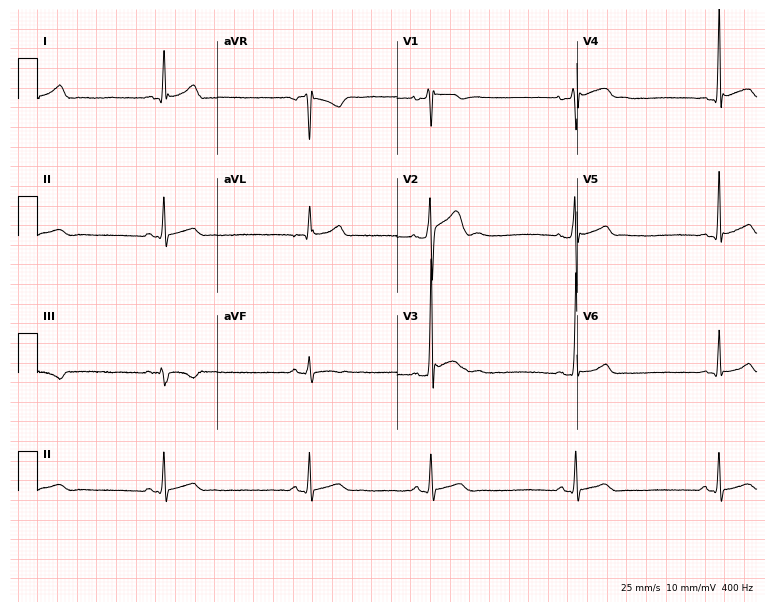
Standard 12-lead ECG recorded from a 20-year-old man (7.3-second recording at 400 Hz). The tracing shows sinus bradycardia (a sinus rate of 50 beats per minute or less).